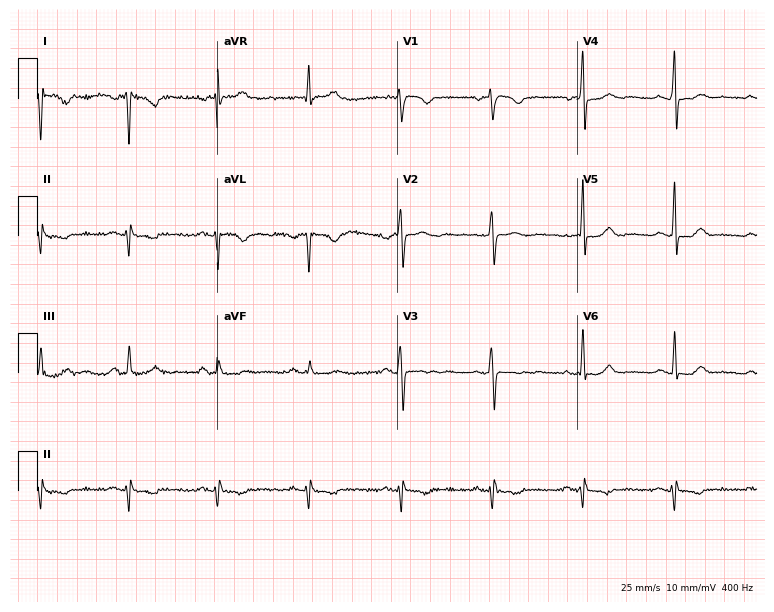
12-lead ECG from a female, 60 years old. No first-degree AV block, right bundle branch block, left bundle branch block, sinus bradycardia, atrial fibrillation or sinus tachycardia recorded for this tracing. Other findings, if any, are not listed.